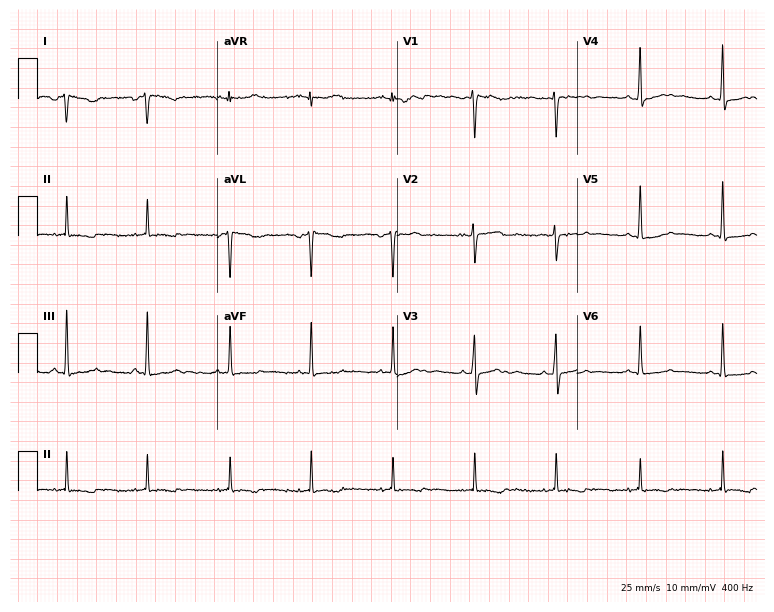
Standard 12-lead ECG recorded from a female patient, 39 years old (7.3-second recording at 400 Hz). None of these six findings is recorded: first-degree AV block, right bundle branch block, left bundle branch block, sinus bradycardia, atrial fibrillation, sinus tachycardia.